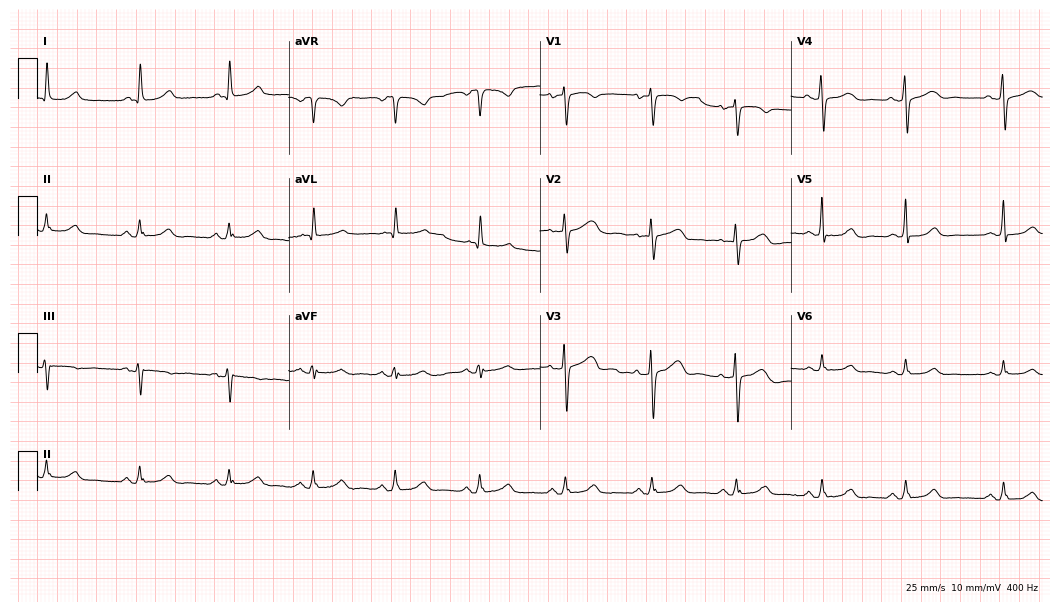
ECG — a 76-year-old female. Labelled as a normal ECG.